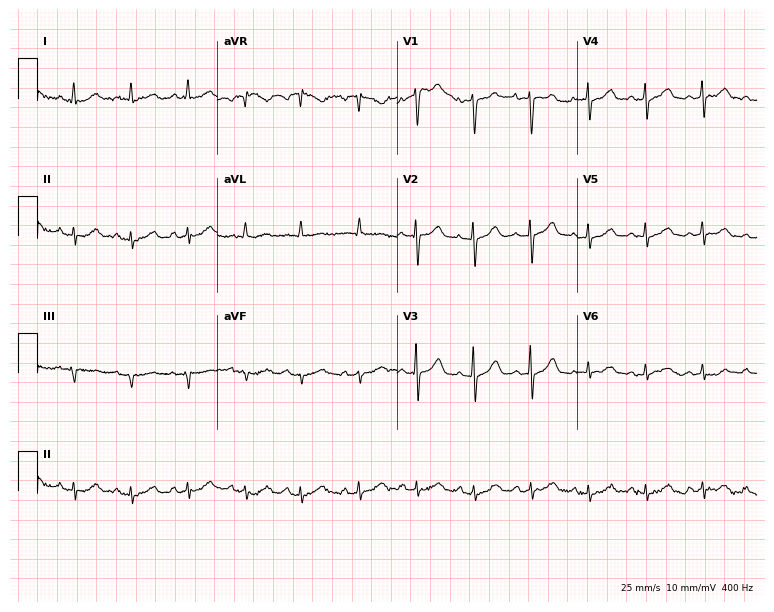
12-lead ECG from a 63-year-old woman. Shows sinus tachycardia (a sinus rate of 100 beats per minute or more).